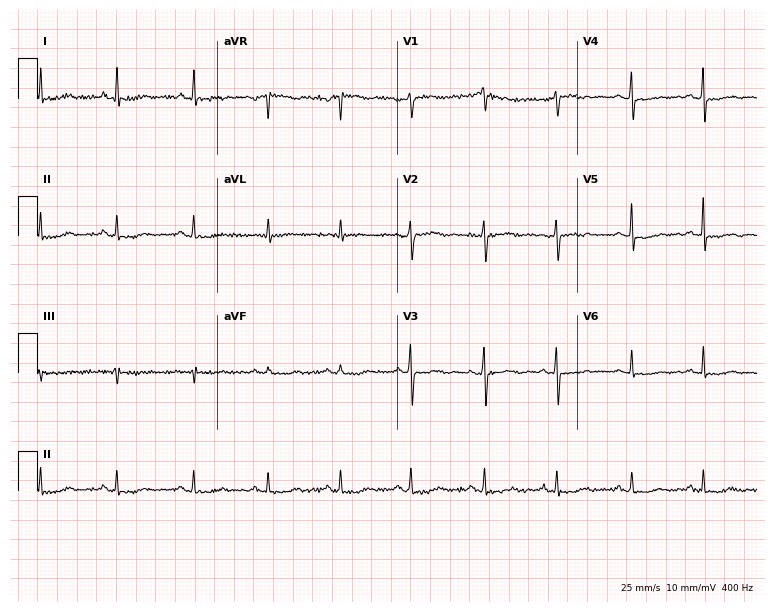
Resting 12-lead electrocardiogram. Patient: a 66-year-old female. None of these six findings is recorded: first-degree AV block, right bundle branch block, left bundle branch block, sinus bradycardia, atrial fibrillation, sinus tachycardia.